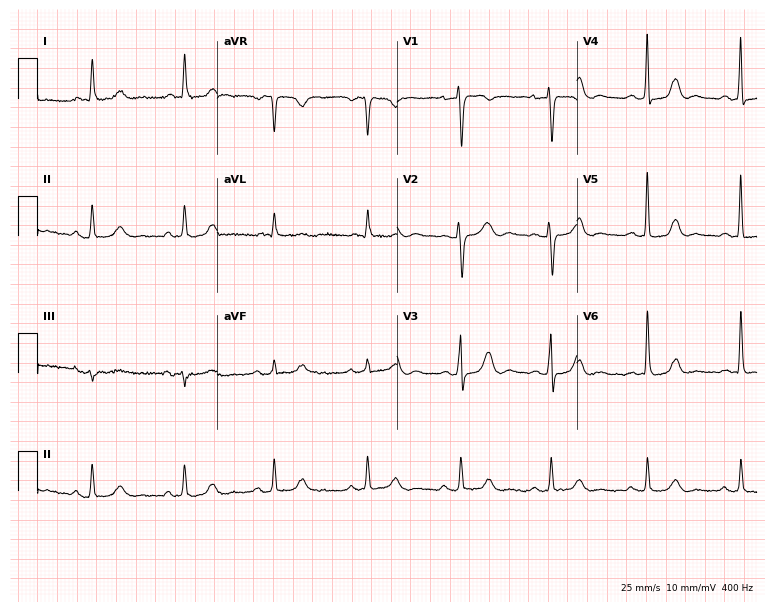
12-lead ECG from a female, 76 years old. Labelled as a normal ECG.